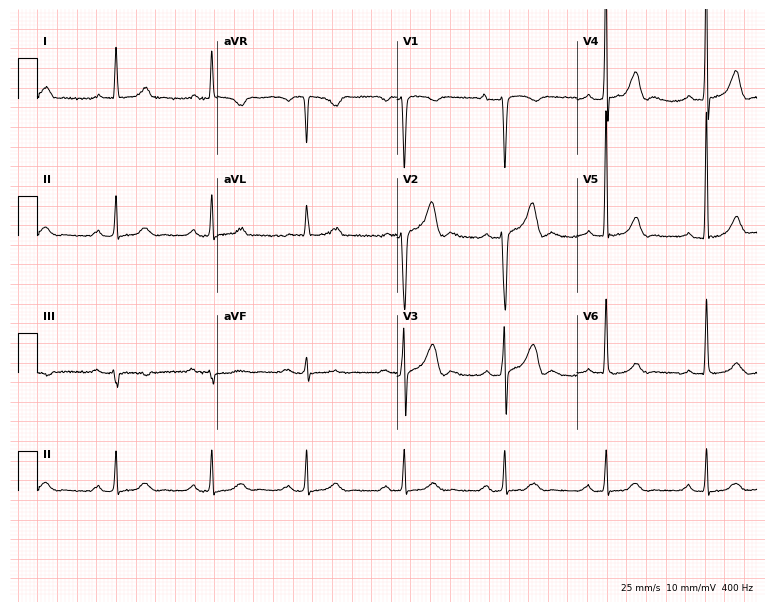
Resting 12-lead electrocardiogram (7.3-second recording at 400 Hz). Patient: a 62-year-old male. None of these six findings is recorded: first-degree AV block, right bundle branch block, left bundle branch block, sinus bradycardia, atrial fibrillation, sinus tachycardia. Only these six findings were labelled.